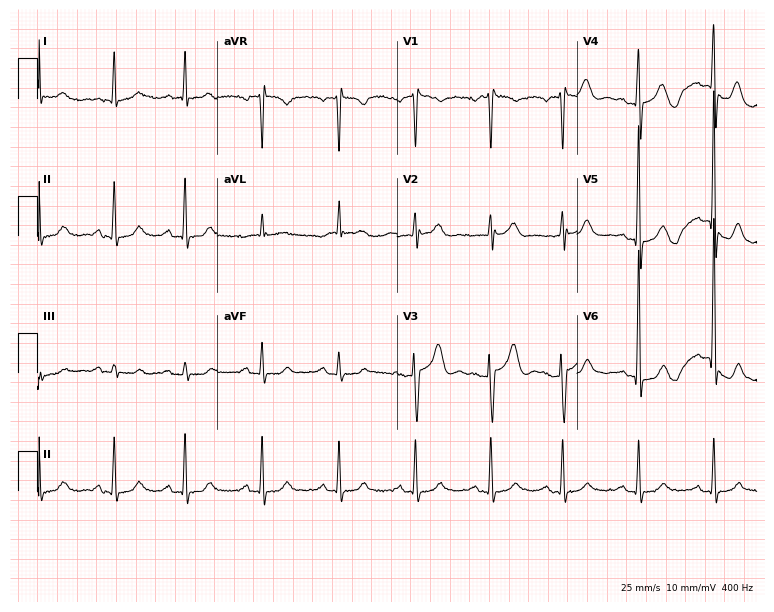
Resting 12-lead electrocardiogram. Patient: a 78-year-old male. None of these six findings is recorded: first-degree AV block, right bundle branch block, left bundle branch block, sinus bradycardia, atrial fibrillation, sinus tachycardia.